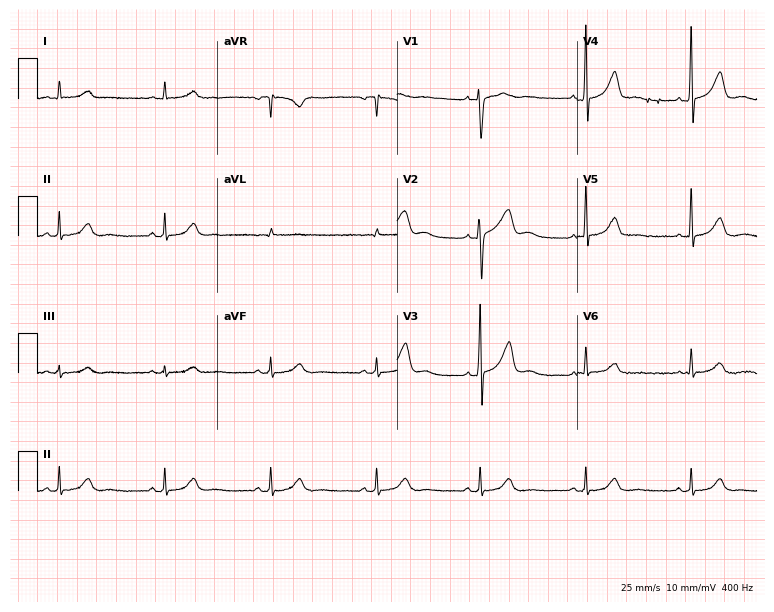
12-lead ECG from a 52-year-old man (7.3-second recording at 400 Hz). Recorded interpretation: within normal limits.